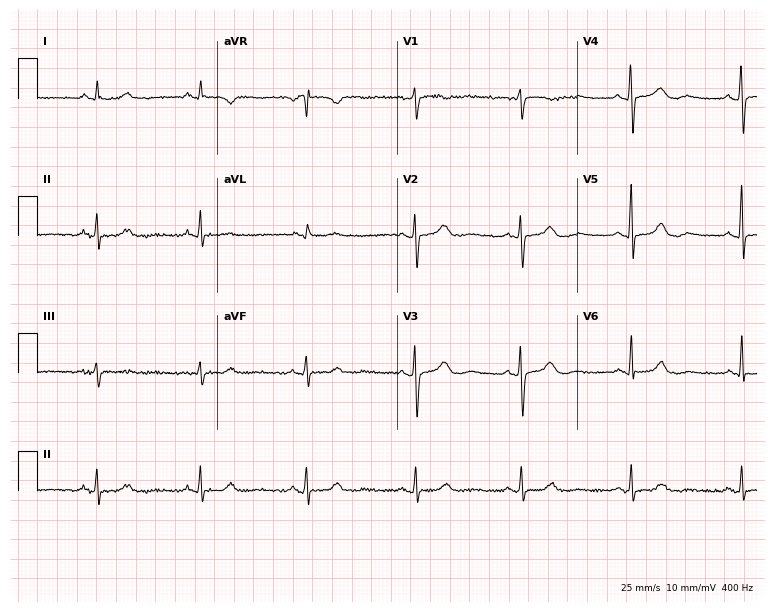
12-lead ECG from a 76-year-old female (7.3-second recording at 400 Hz). No first-degree AV block, right bundle branch block (RBBB), left bundle branch block (LBBB), sinus bradycardia, atrial fibrillation (AF) or sinus tachycardia recorded for this tracing. Only these six findings were labelled.